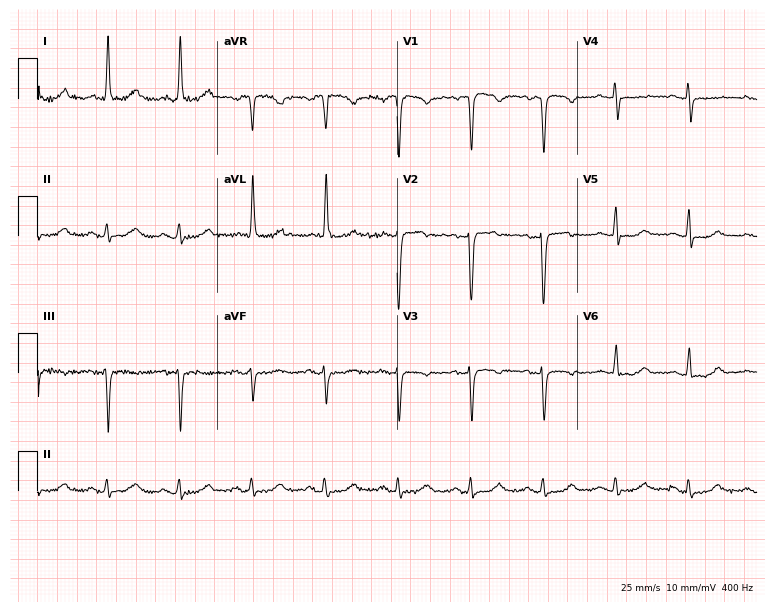
Resting 12-lead electrocardiogram. Patient: a woman, 80 years old. None of these six findings is recorded: first-degree AV block, right bundle branch block, left bundle branch block, sinus bradycardia, atrial fibrillation, sinus tachycardia.